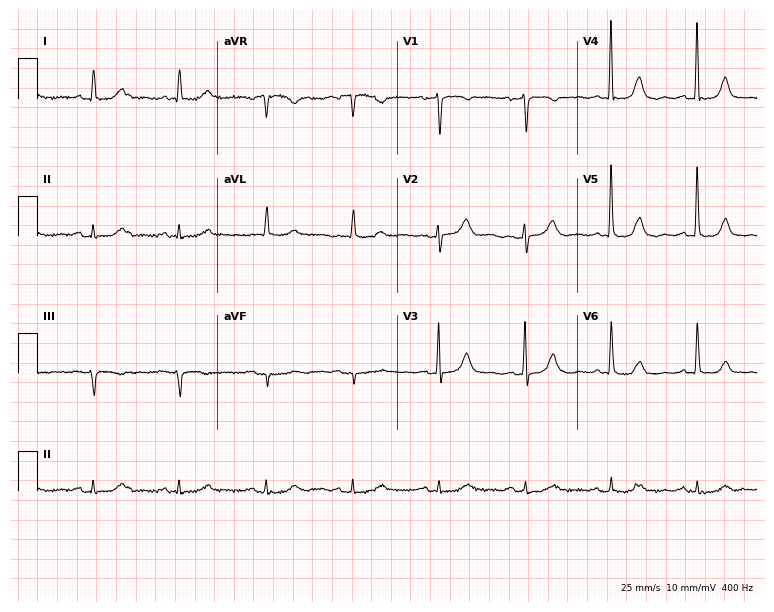
Resting 12-lead electrocardiogram. Patient: an 81-year-old female. None of these six findings is recorded: first-degree AV block, right bundle branch block, left bundle branch block, sinus bradycardia, atrial fibrillation, sinus tachycardia. Findings outside these six are not listed.